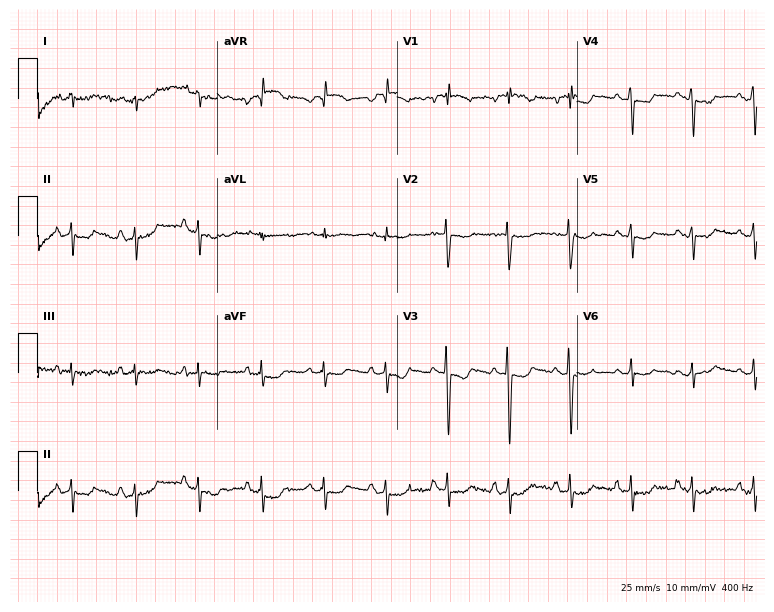
12-lead ECG from an 80-year-old woman (7.3-second recording at 400 Hz). No first-degree AV block, right bundle branch block (RBBB), left bundle branch block (LBBB), sinus bradycardia, atrial fibrillation (AF) or sinus tachycardia recorded for this tracing. Only these six findings were labelled.